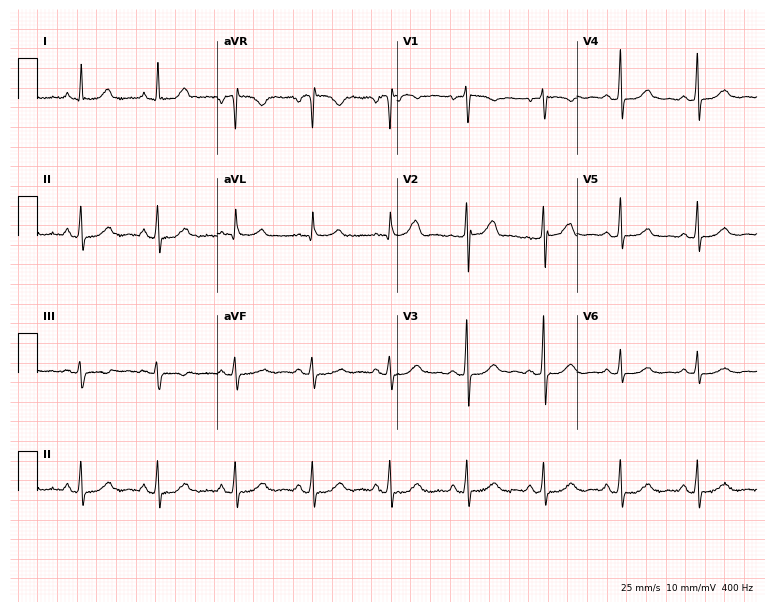
Resting 12-lead electrocardiogram (7.3-second recording at 400 Hz). Patient: a female, 65 years old. Read as a normal ECG.